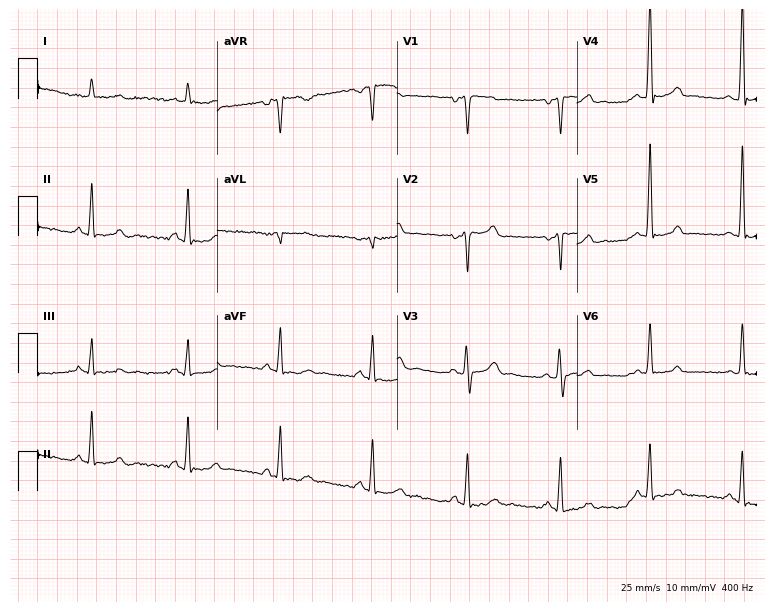
12-lead ECG from a 47-year-old male. No first-degree AV block, right bundle branch block, left bundle branch block, sinus bradycardia, atrial fibrillation or sinus tachycardia recorded for this tracing.